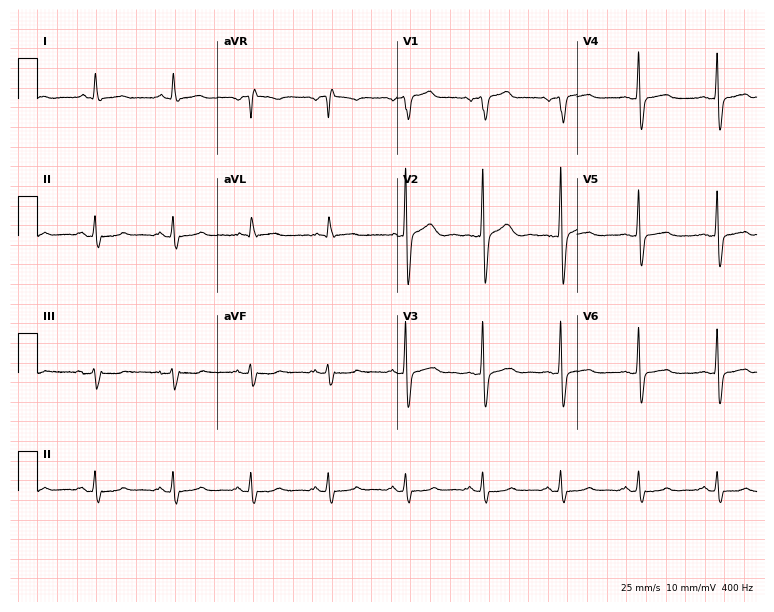
Standard 12-lead ECG recorded from a 64-year-old man (7.3-second recording at 400 Hz). None of these six findings is recorded: first-degree AV block, right bundle branch block, left bundle branch block, sinus bradycardia, atrial fibrillation, sinus tachycardia. Findings outside these six are not listed.